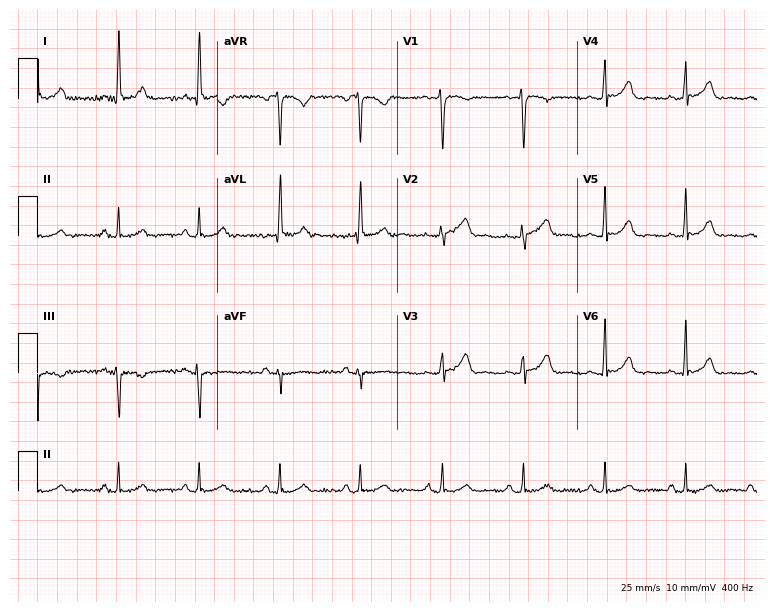
Resting 12-lead electrocardiogram. Patient: a 57-year-old woman. None of these six findings is recorded: first-degree AV block, right bundle branch block, left bundle branch block, sinus bradycardia, atrial fibrillation, sinus tachycardia.